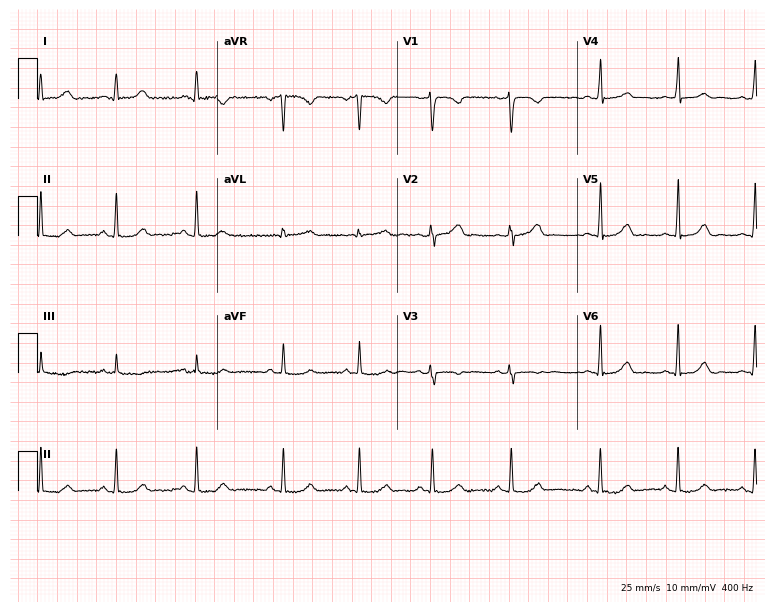
12-lead ECG from a woman, 25 years old. Recorded interpretation: within normal limits.